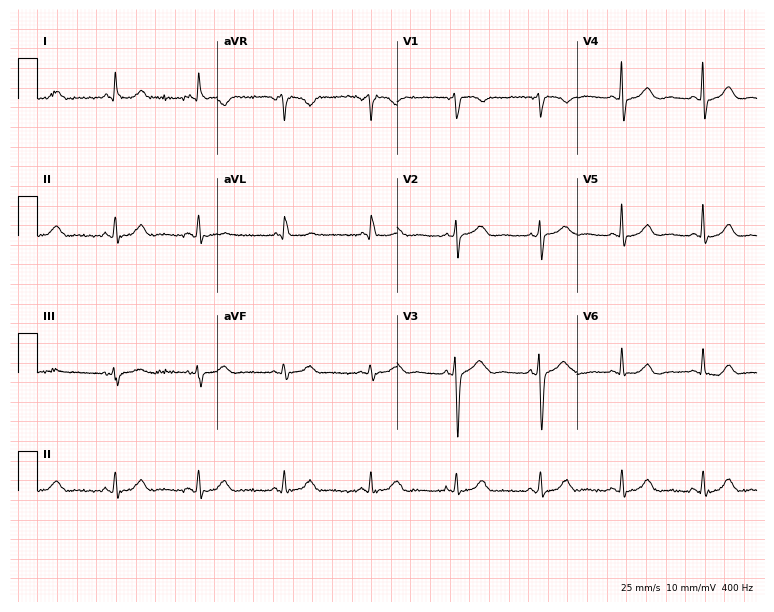
12-lead ECG from a female, 66 years old (7.3-second recording at 400 Hz). Recorded interpretation: within normal limits.